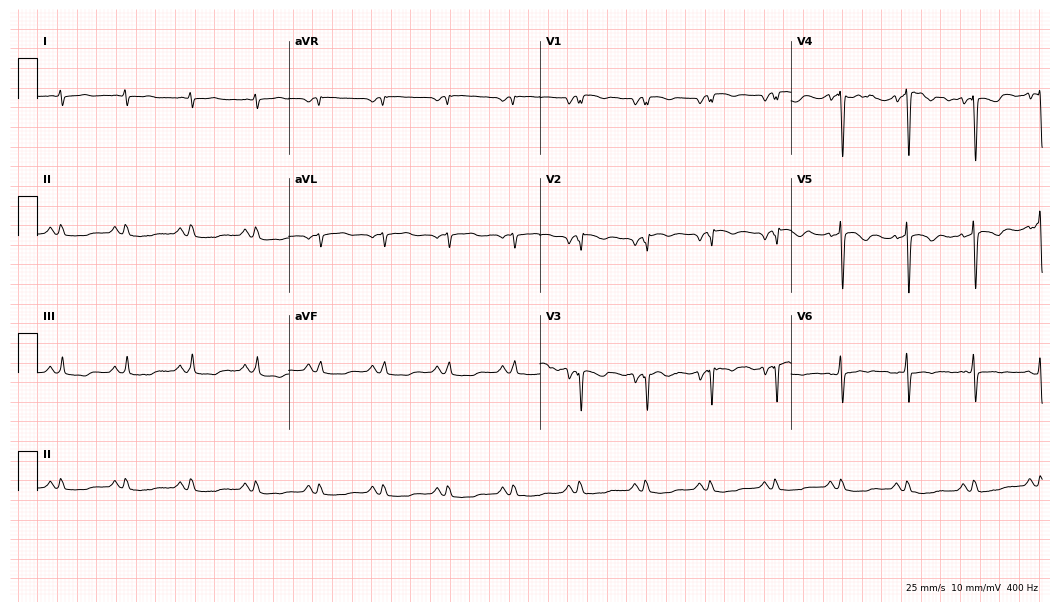
12-lead ECG from a 66-year-old male (10.2-second recording at 400 Hz). No first-degree AV block, right bundle branch block (RBBB), left bundle branch block (LBBB), sinus bradycardia, atrial fibrillation (AF) or sinus tachycardia recorded for this tracing.